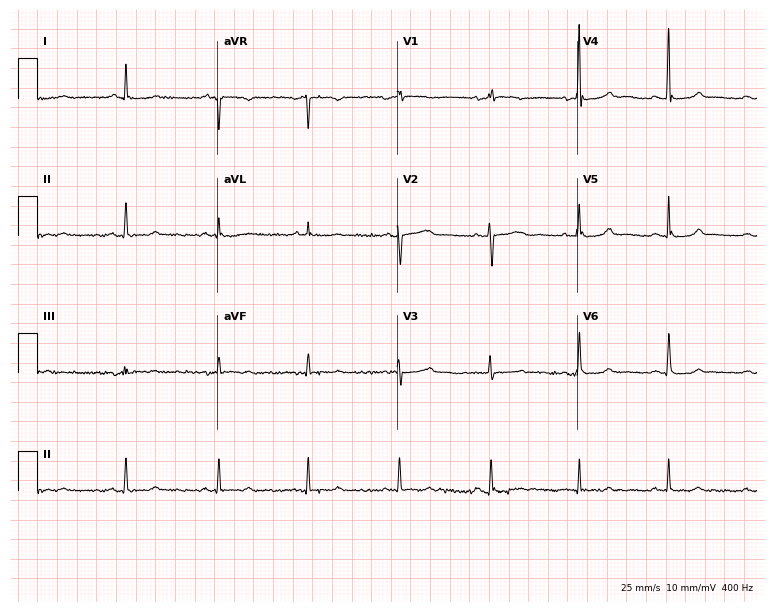
12-lead ECG from a female, 57 years old. Screened for six findings — first-degree AV block, right bundle branch block (RBBB), left bundle branch block (LBBB), sinus bradycardia, atrial fibrillation (AF), sinus tachycardia — none is recorded. Findings outside these six are not listed.